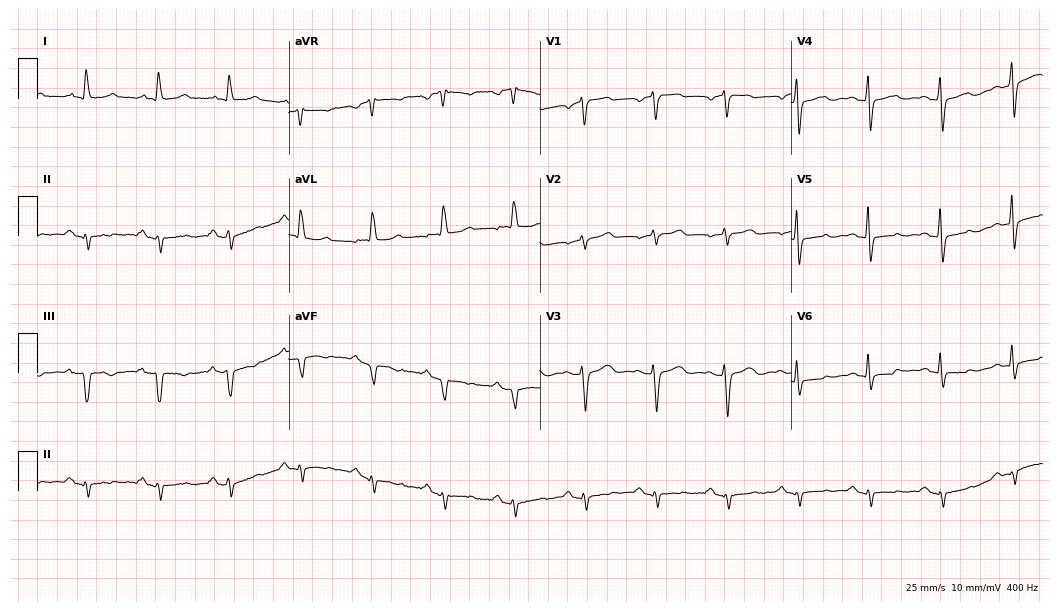
Resting 12-lead electrocardiogram (10.2-second recording at 400 Hz). Patient: a woman, 82 years old. None of these six findings is recorded: first-degree AV block, right bundle branch block, left bundle branch block, sinus bradycardia, atrial fibrillation, sinus tachycardia. Other findings, if any, are not listed.